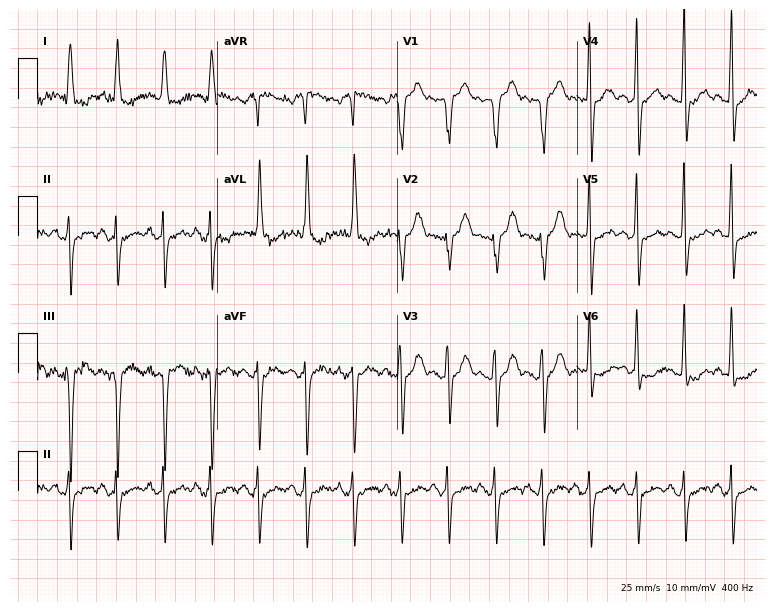
ECG (7.3-second recording at 400 Hz) — an 83-year-old woman. Findings include sinus tachycardia (a sinus rate of 100 beats per minute or more).